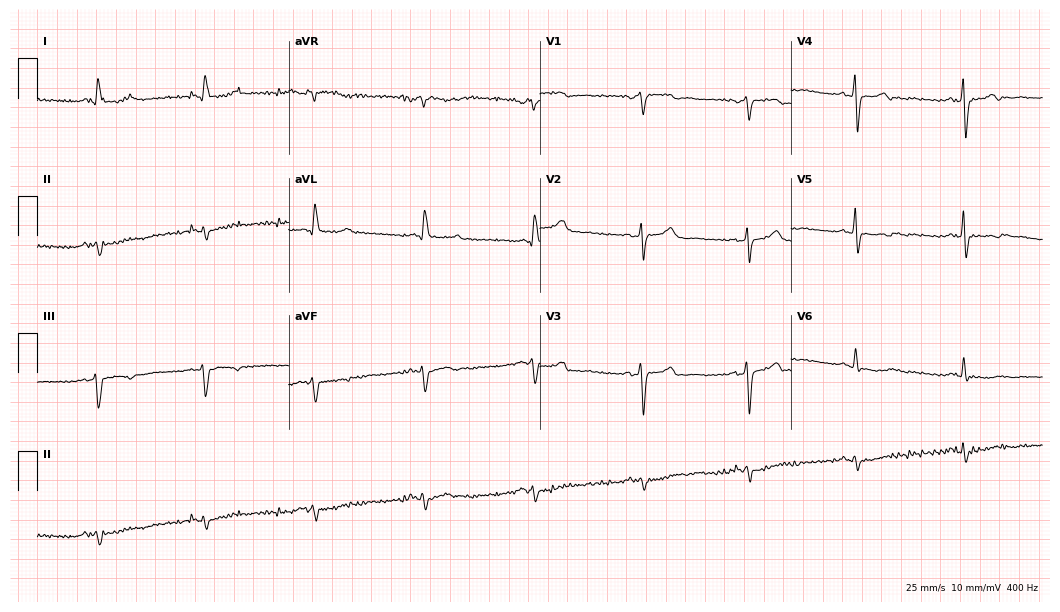
ECG — a man, 65 years old. Screened for six findings — first-degree AV block, right bundle branch block, left bundle branch block, sinus bradycardia, atrial fibrillation, sinus tachycardia — none is recorded. Other findings, if any, are not listed.